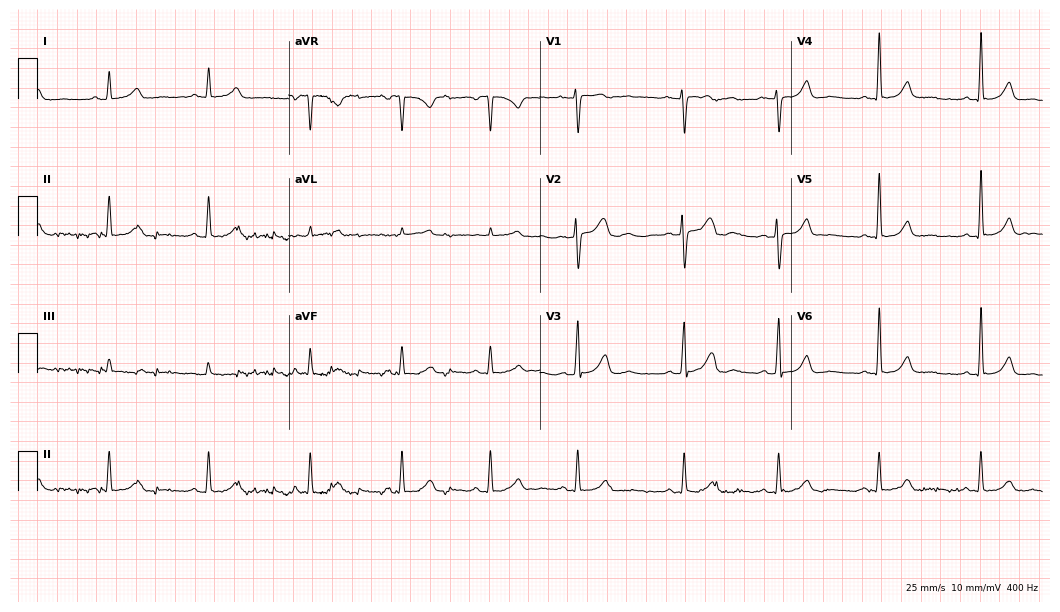
12-lead ECG from a 43-year-old female patient. Labelled as a normal ECG.